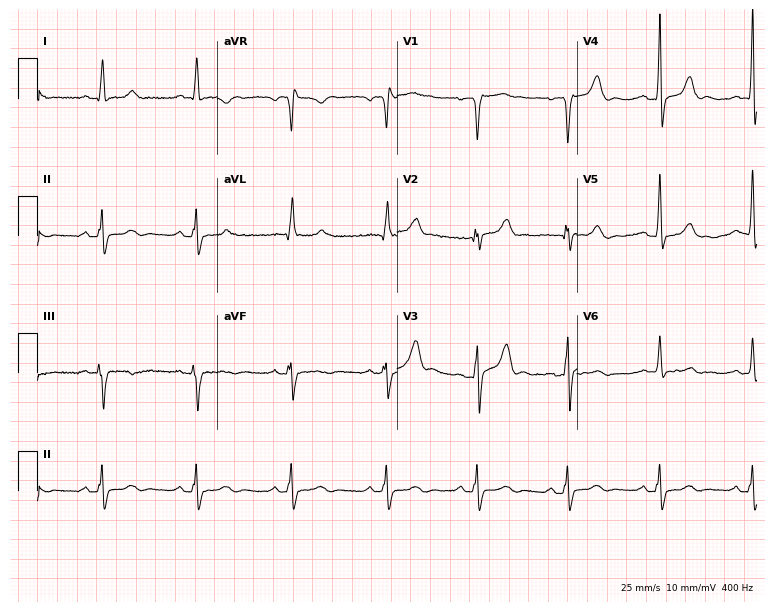
Standard 12-lead ECG recorded from a male, 57 years old (7.3-second recording at 400 Hz). None of these six findings is recorded: first-degree AV block, right bundle branch block (RBBB), left bundle branch block (LBBB), sinus bradycardia, atrial fibrillation (AF), sinus tachycardia.